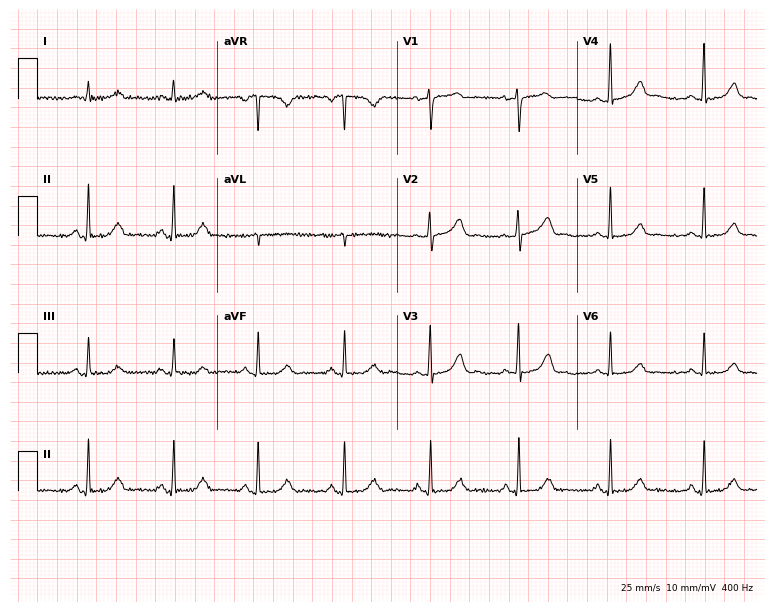
Resting 12-lead electrocardiogram. Patient: a 54-year-old female. None of these six findings is recorded: first-degree AV block, right bundle branch block, left bundle branch block, sinus bradycardia, atrial fibrillation, sinus tachycardia. Other findings, if any, are not listed.